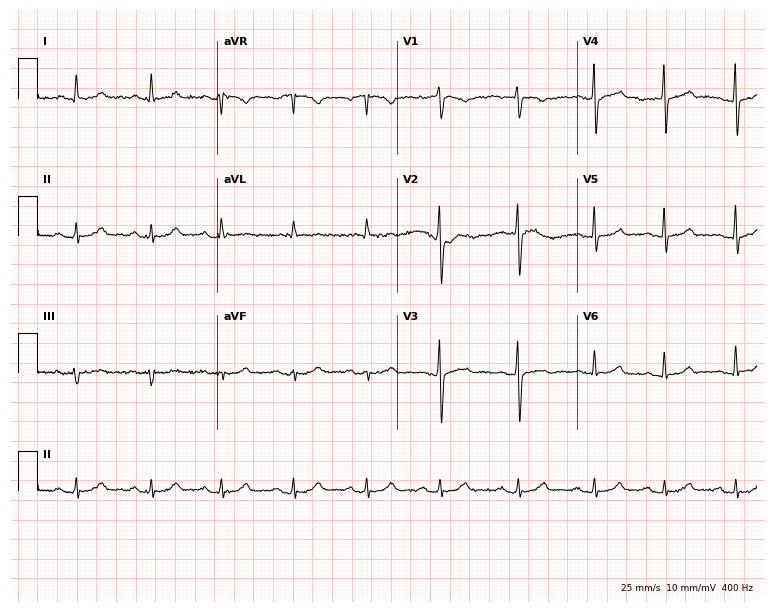
ECG — a 50-year-old woman. Screened for six findings — first-degree AV block, right bundle branch block (RBBB), left bundle branch block (LBBB), sinus bradycardia, atrial fibrillation (AF), sinus tachycardia — none is recorded. Only these six findings were labelled.